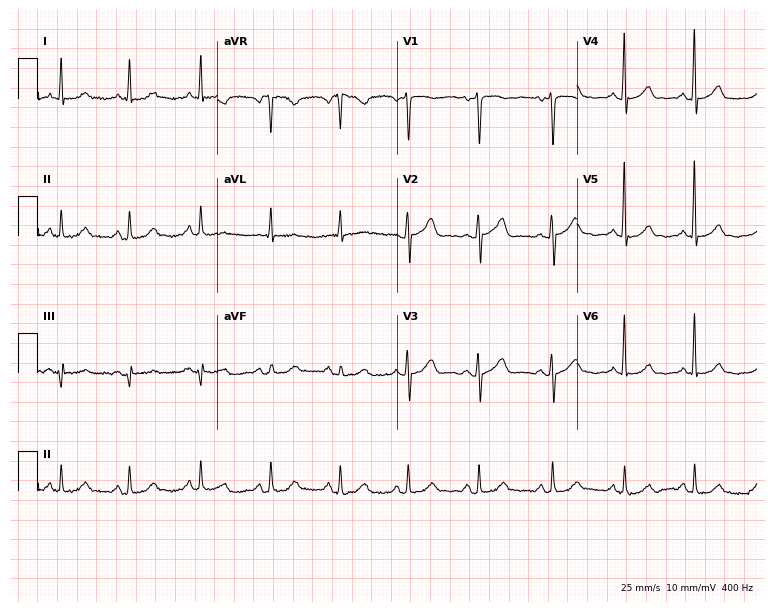
Standard 12-lead ECG recorded from a female, 56 years old (7.3-second recording at 400 Hz). Read as a normal ECG.